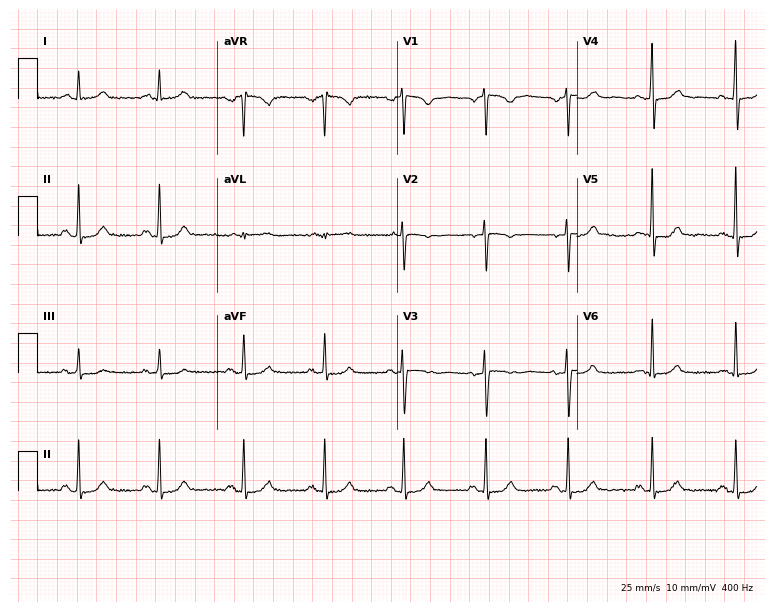
Resting 12-lead electrocardiogram (7.3-second recording at 400 Hz). Patient: a 44-year-old female. Read as a normal ECG.